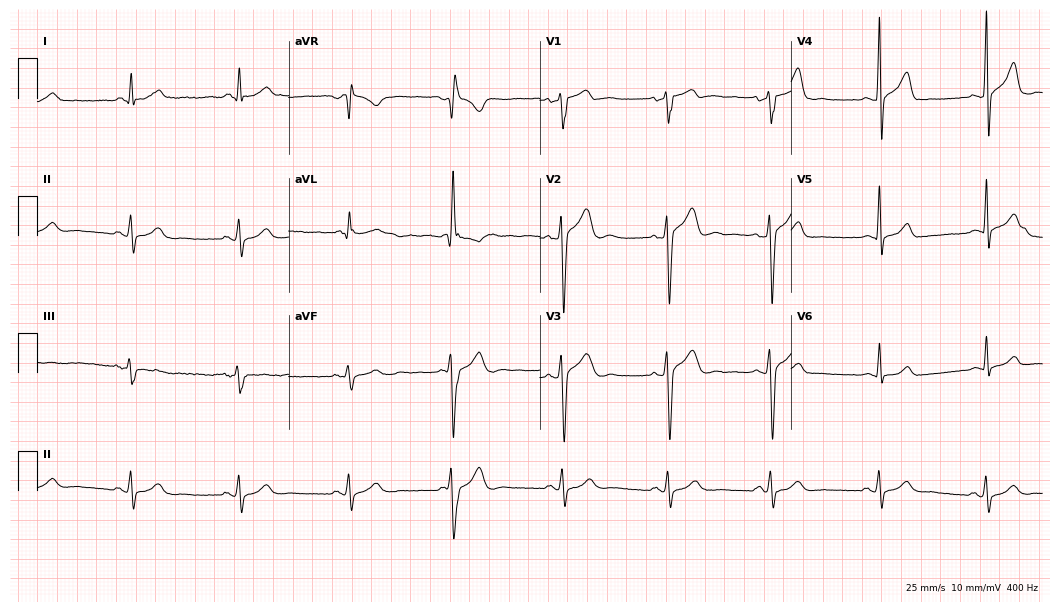
Standard 12-lead ECG recorded from a male, 49 years old. Read as a normal ECG.